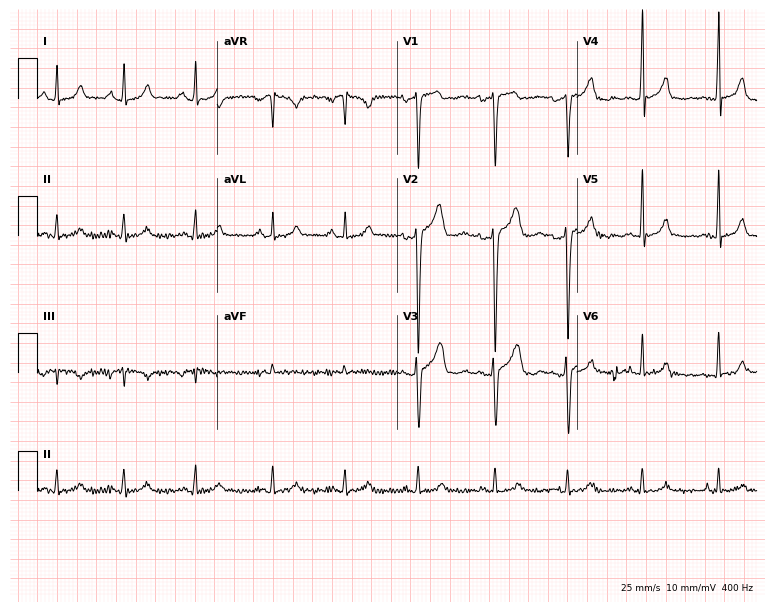
12-lead ECG from a female patient, 42 years old (7.3-second recording at 400 Hz). Recorded interpretation: within normal limits.